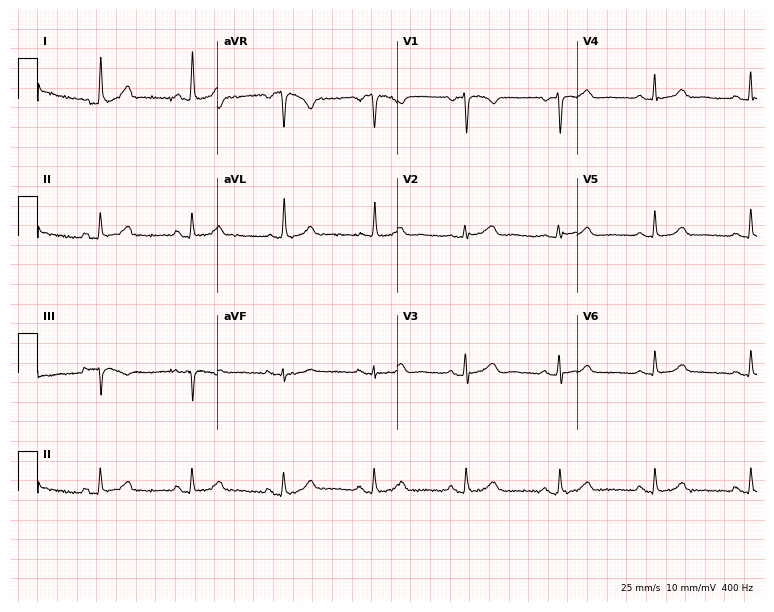
Electrocardiogram, a female patient, 59 years old. Overall reading on record: normal ECG.